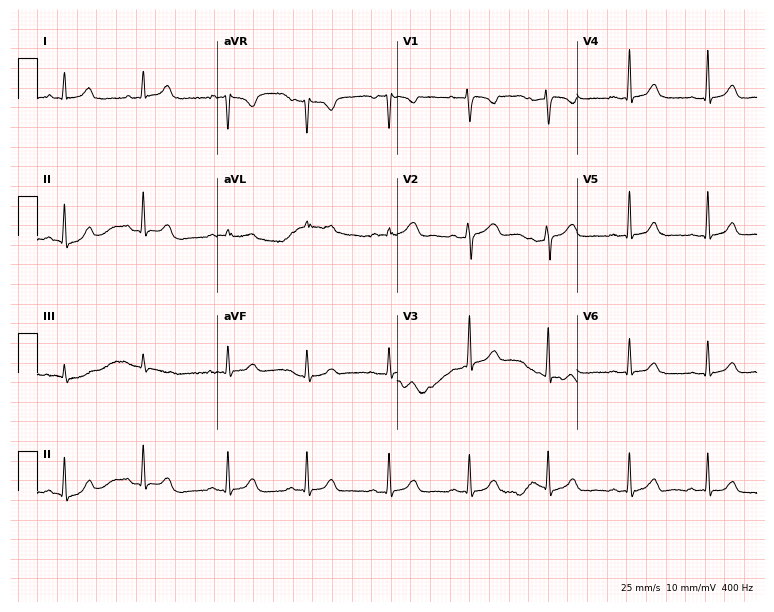
Electrocardiogram (7.3-second recording at 400 Hz), a female patient, 30 years old. Overall reading on record: normal ECG.